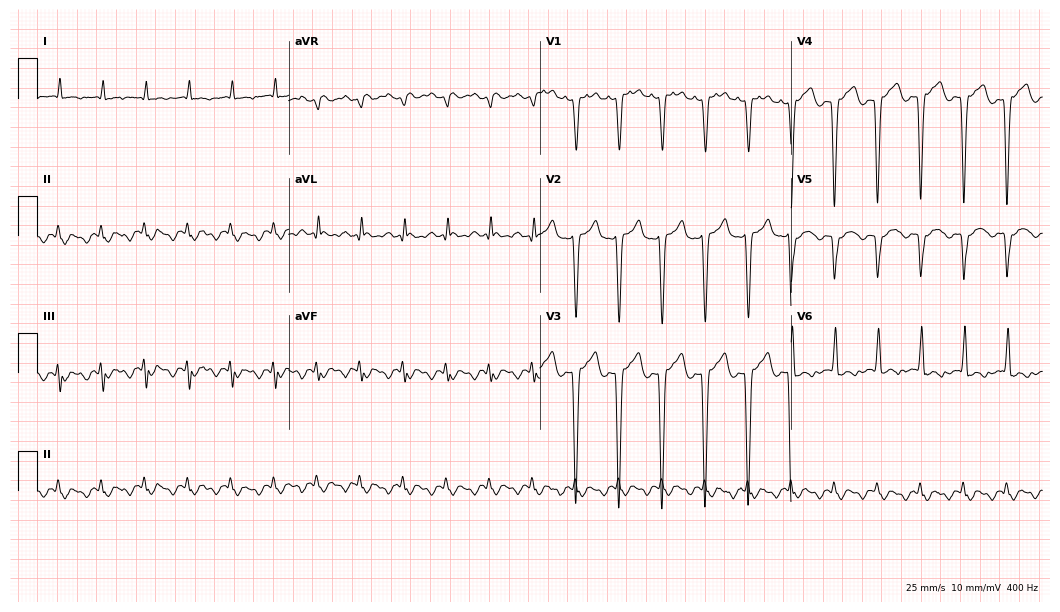
Standard 12-lead ECG recorded from a 57-year-old man. None of these six findings is recorded: first-degree AV block, right bundle branch block, left bundle branch block, sinus bradycardia, atrial fibrillation, sinus tachycardia.